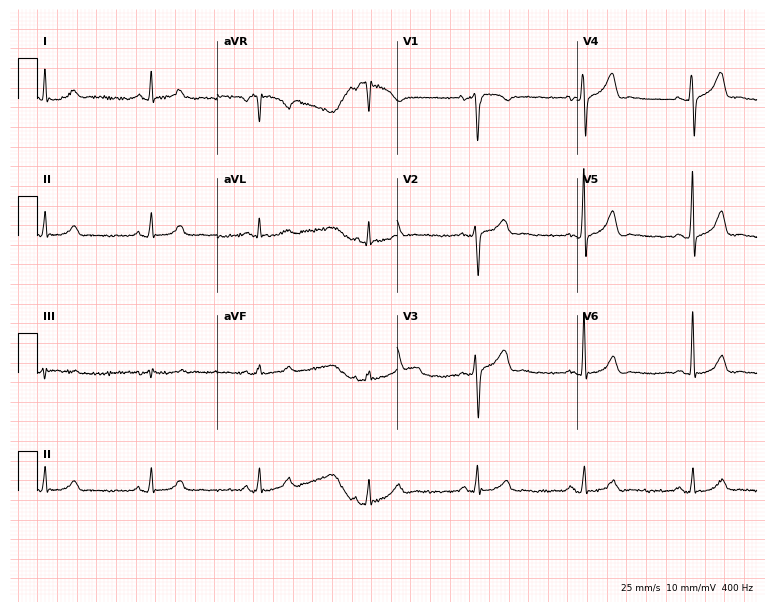
Electrocardiogram (7.3-second recording at 400 Hz), a 56-year-old male. Overall reading on record: normal ECG.